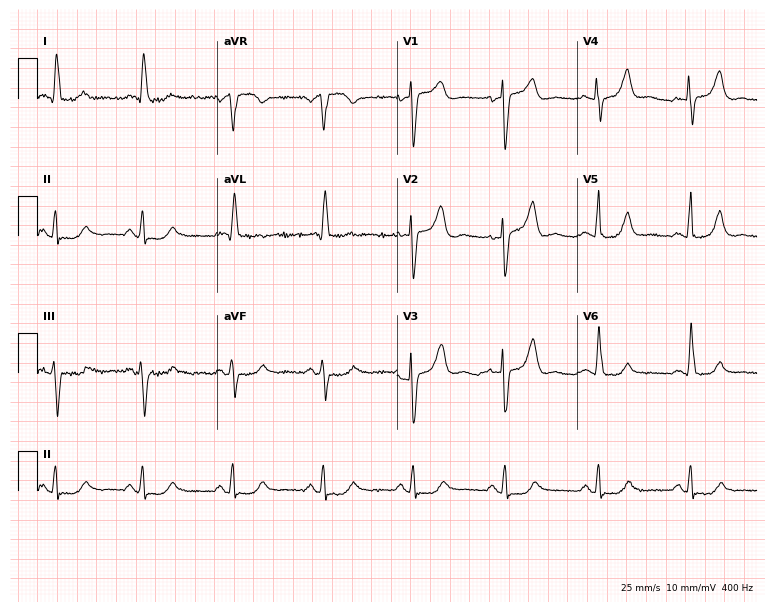
Standard 12-lead ECG recorded from a woman, 82 years old. Read as a normal ECG.